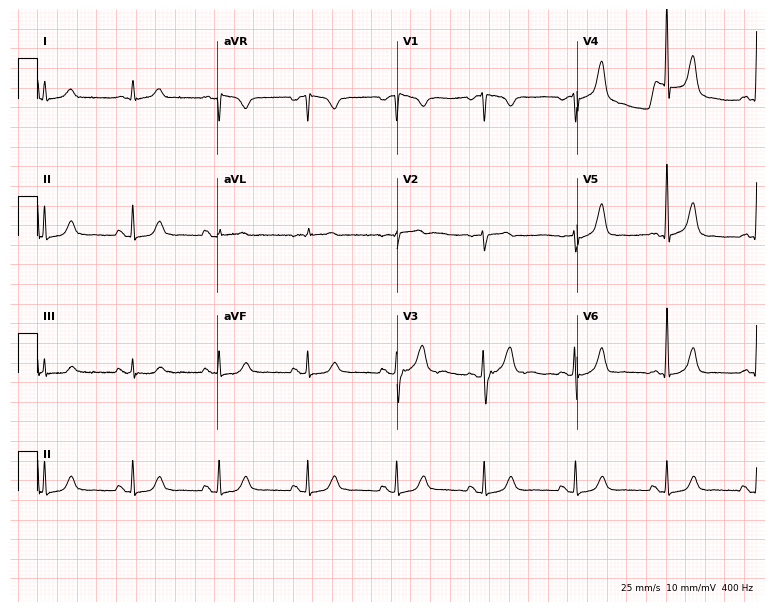
Standard 12-lead ECG recorded from a male patient, 59 years old. Read as a normal ECG.